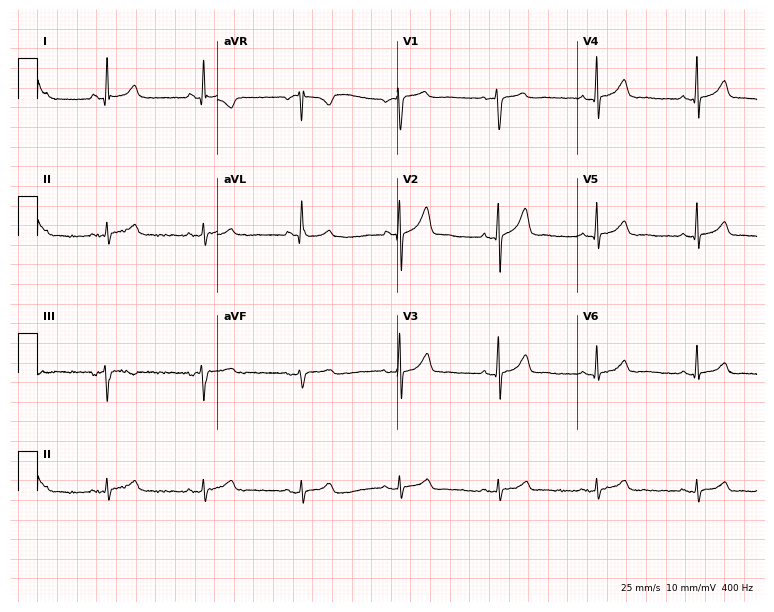
Electrocardiogram, a 40-year-old male patient. Overall reading on record: normal ECG.